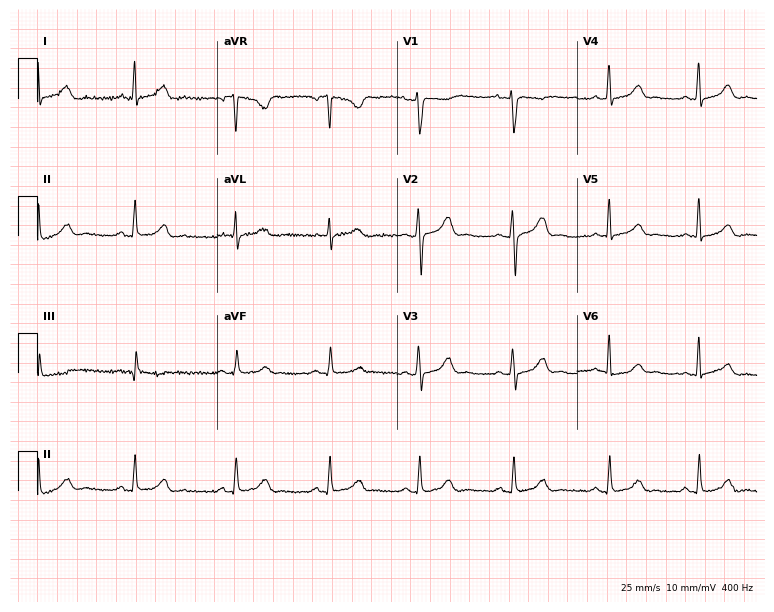
12-lead ECG (7.3-second recording at 400 Hz) from a 29-year-old woman. Labelled as a normal ECG.